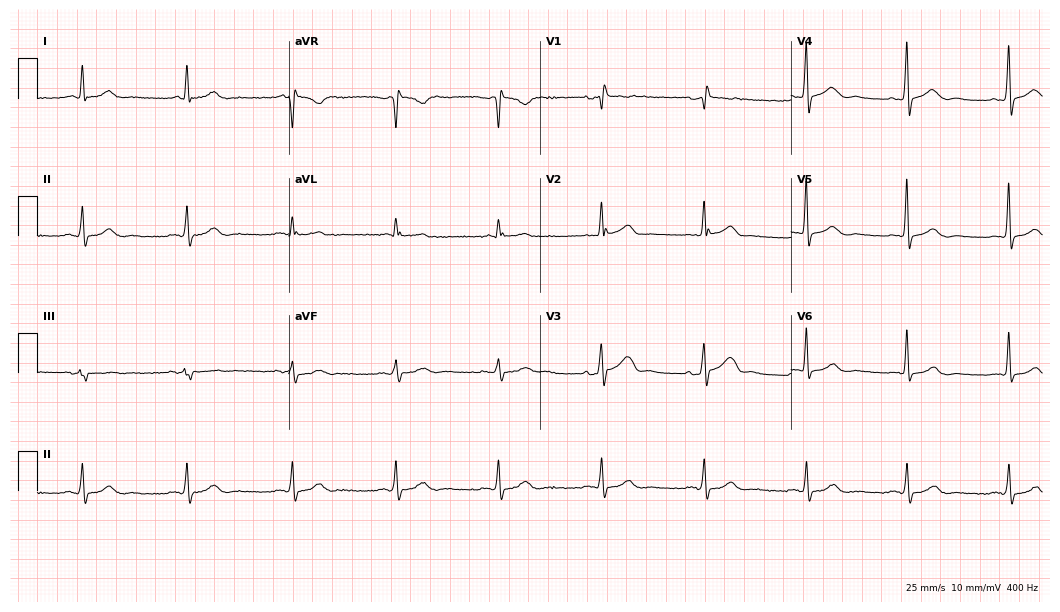
12-lead ECG from a 78-year-old male patient. Screened for six findings — first-degree AV block, right bundle branch block (RBBB), left bundle branch block (LBBB), sinus bradycardia, atrial fibrillation (AF), sinus tachycardia — none is recorded.